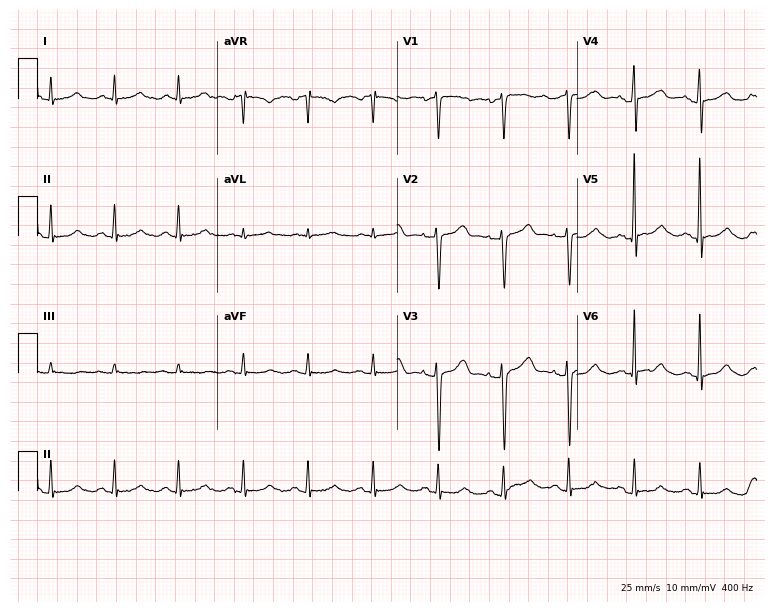
12-lead ECG (7.3-second recording at 400 Hz) from a 58-year-old male. Labelled as a normal ECG.